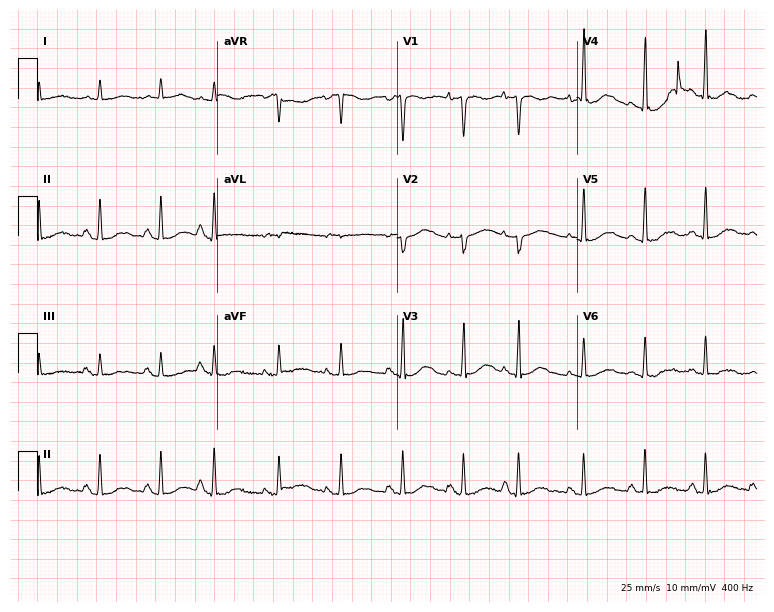
12-lead ECG from a 65-year-old female. Screened for six findings — first-degree AV block, right bundle branch block, left bundle branch block, sinus bradycardia, atrial fibrillation, sinus tachycardia — none is recorded.